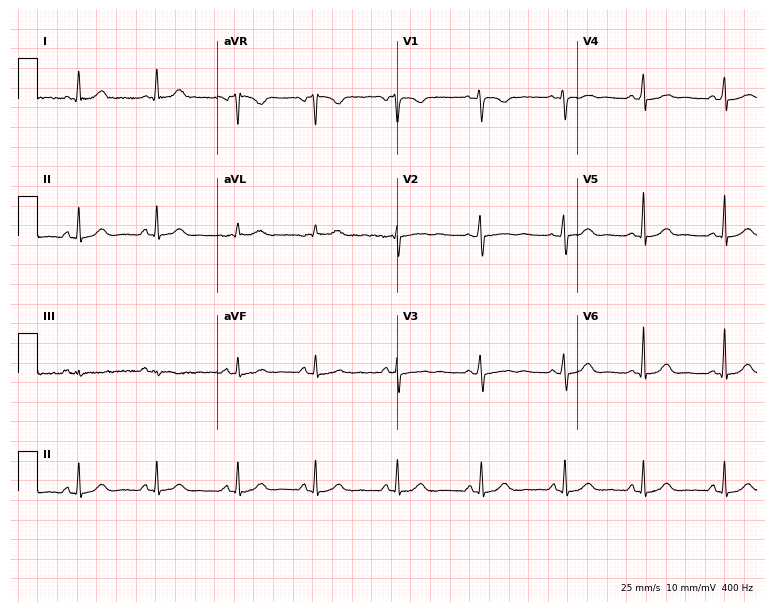
ECG — a female patient, 39 years old. Labelled as a normal ECG.